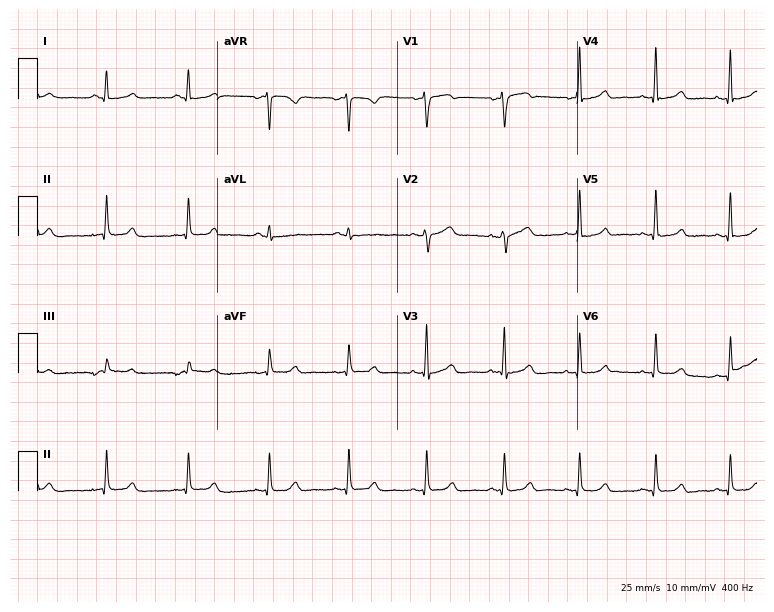
Electrocardiogram (7.3-second recording at 400 Hz), a 68-year-old male patient. Of the six screened findings (first-degree AV block, right bundle branch block, left bundle branch block, sinus bradycardia, atrial fibrillation, sinus tachycardia), none is recorded.